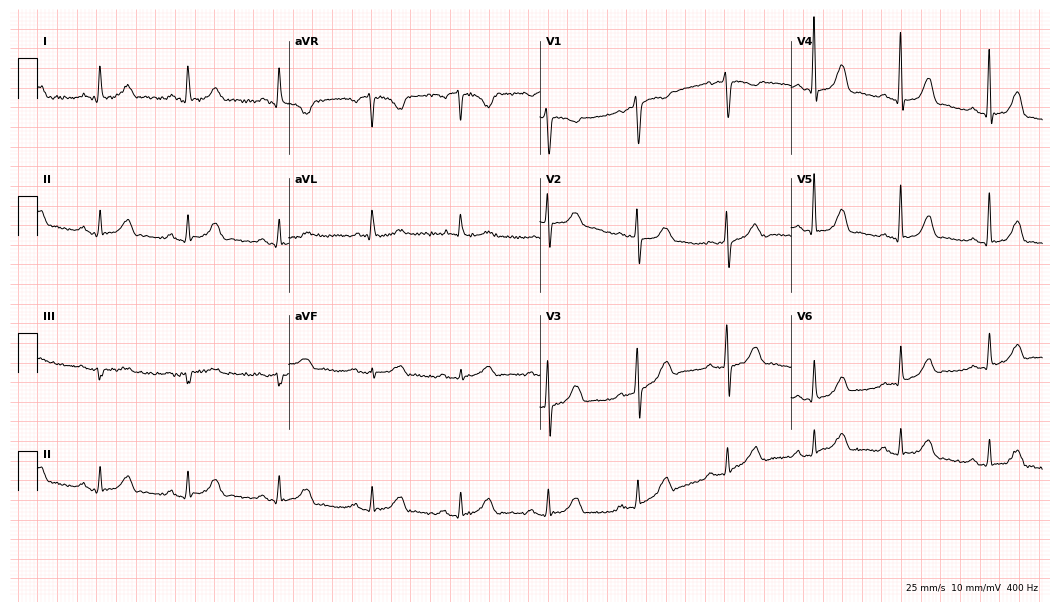
ECG (10.2-second recording at 400 Hz) — a female patient, 60 years old. Labelled as a normal ECG.